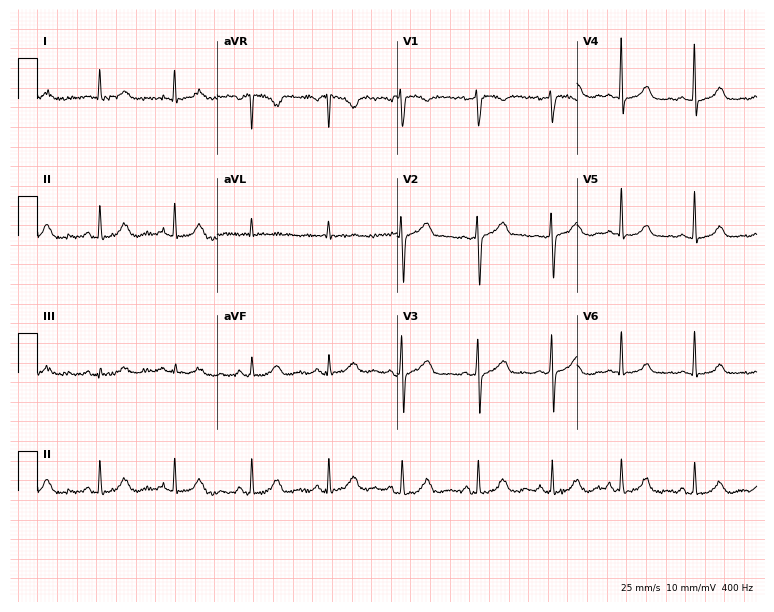
12-lead ECG from a 37-year-old woman. Recorded interpretation: within normal limits.